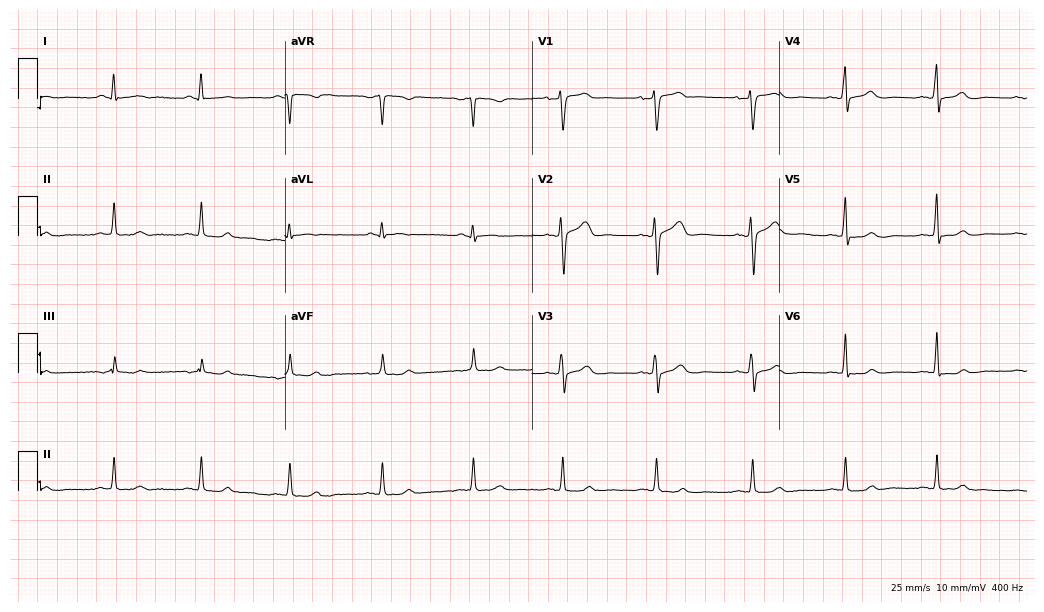
12-lead ECG from a 42-year-old woman. No first-degree AV block, right bundle branch block, left bundle branch block, sinus bradycardia, atrial fibrillation or sinus tachycardia recorded for this tracing.